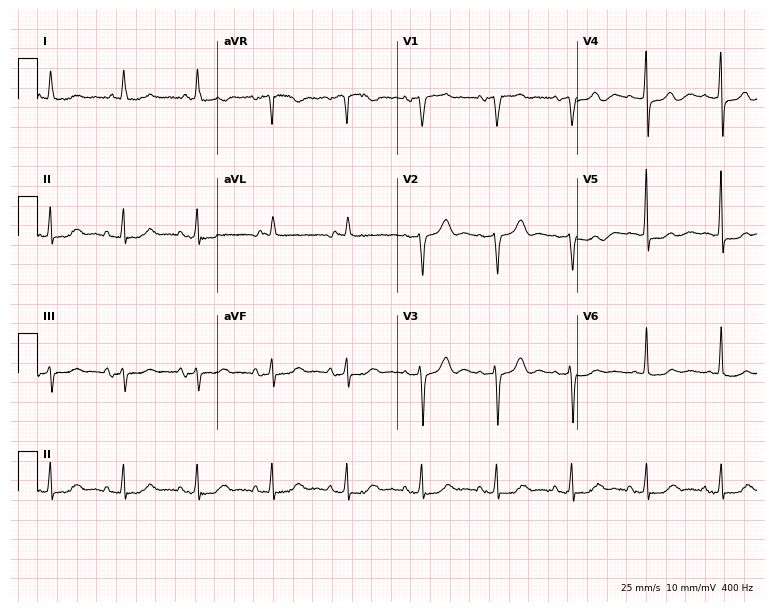
ECG (7.3-second recording at 400 Hz) — an 85-year-old male patient. Labelled as a normal ECG.